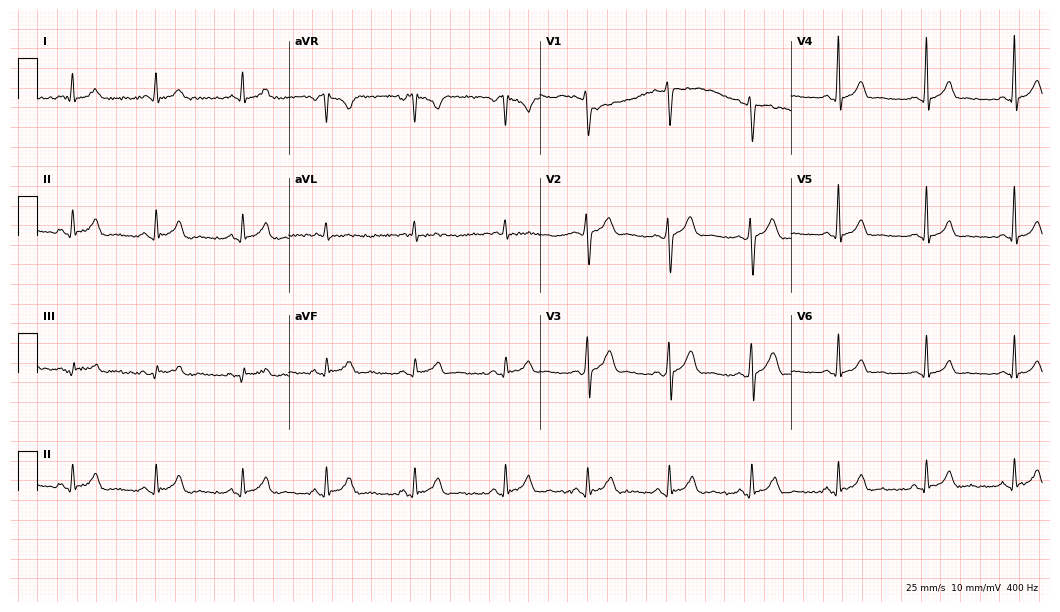
Electrocardiogram (10.2-second recording at 400 Hz), a male patient, 24 years old. Overall reading on record: normal ECG.